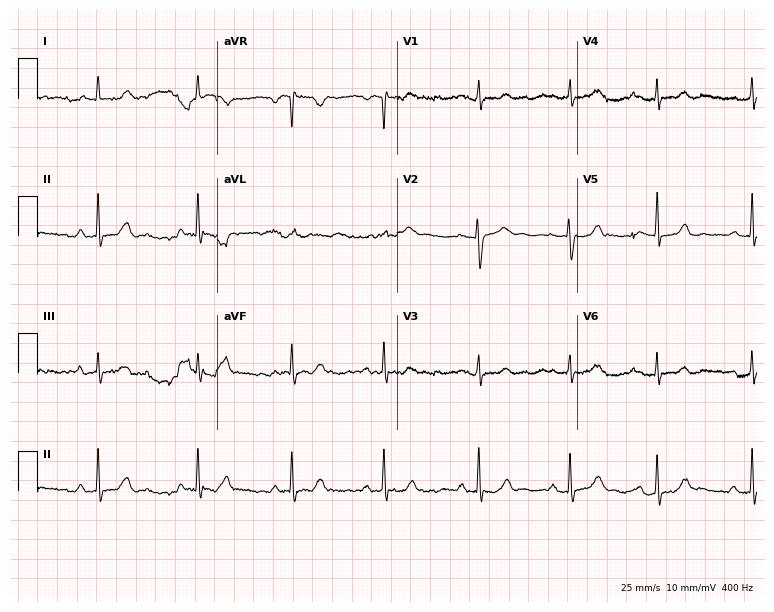
12-lead ECG from a 31-year-old female. Screened for six findings — first-degree AV block, right bundle branch block, left bundle branch block, sinus bradycardia, atrial fibrillation, sinus tachycardia — none is recorded. Other findings, if any, are not listed.